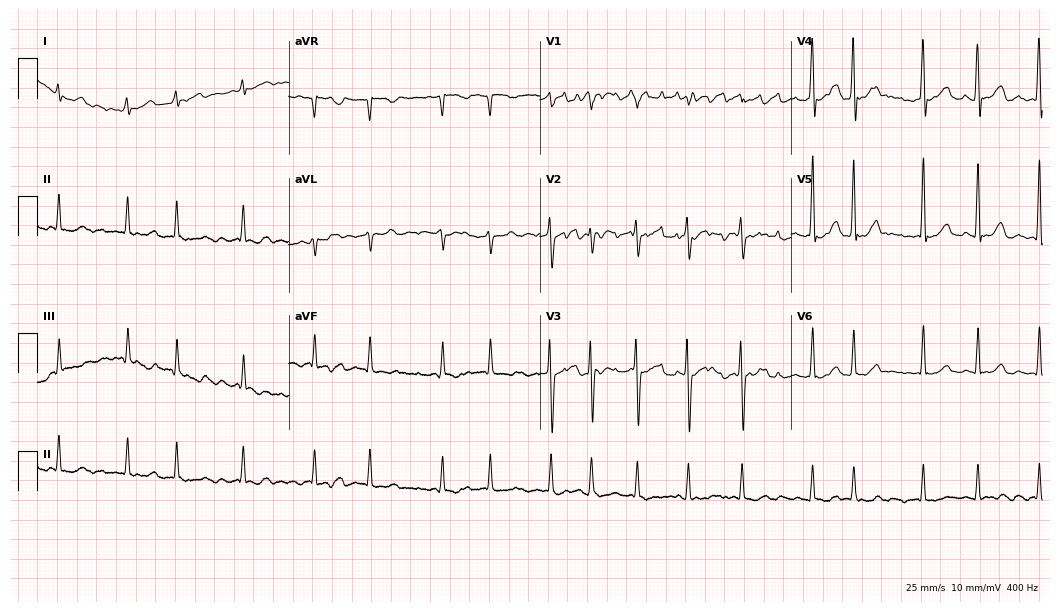
Standard 12-lead ECG recorded from a woman, 50 years old (10.2-second recording at 400 Hz). The tracing shows atrial fibrillation.